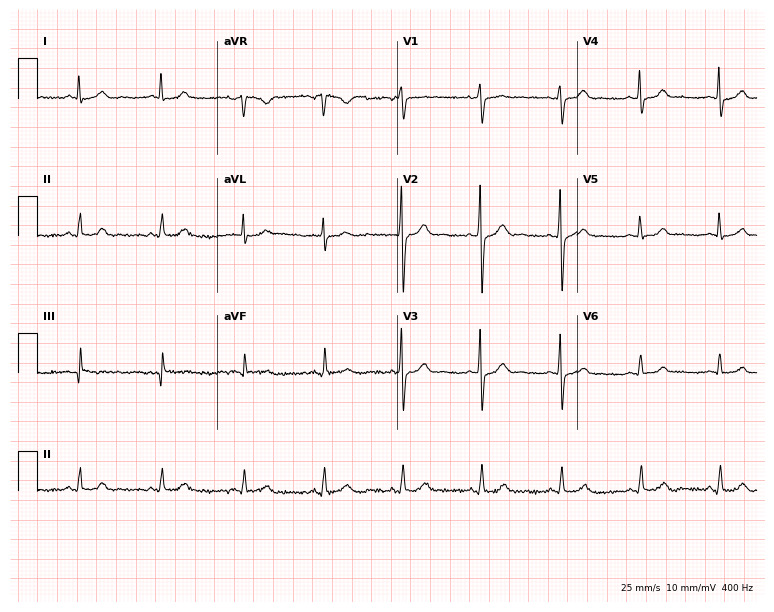
Resting 12-lead electrocardiogram. Patient: a male, 35 years old. None of these six findings is recorded: first-degree AV block, right bundle branch block, left bundle branch block, sinus bradycardia, atrial fibrillation, sinus tachycardia.